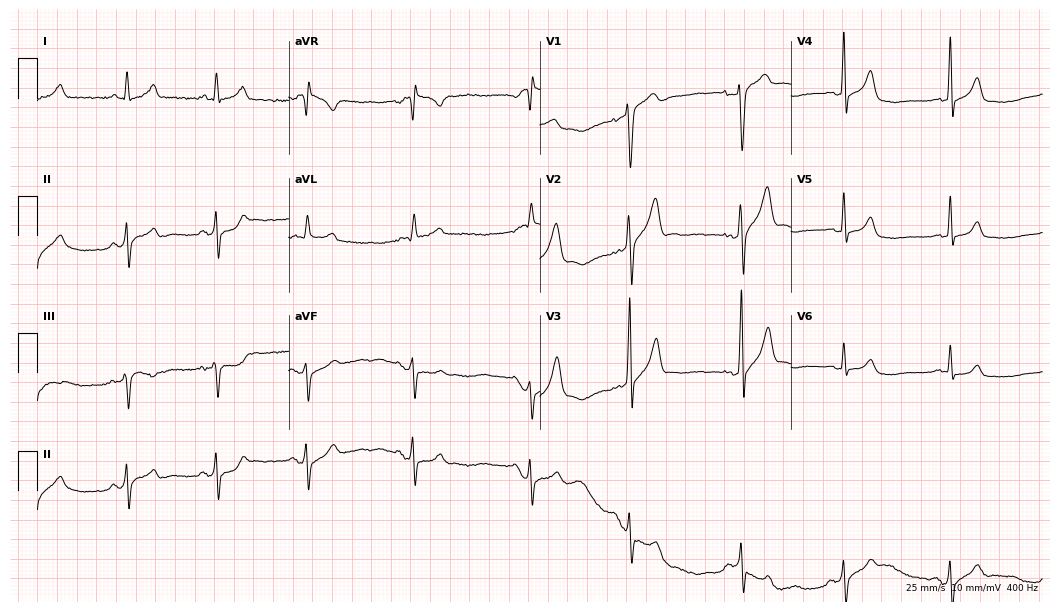
Standard 12-lead ECG recorded from a male, 19 years old (10.2-second recording at 400 Hz). None of these six findings is recorded: first-degree AV block, right bundle branch block, left bundle branch block, sinus bradycardia, atrial fibrillation, sinus tachycardia. Other findings, if any, are not listed.